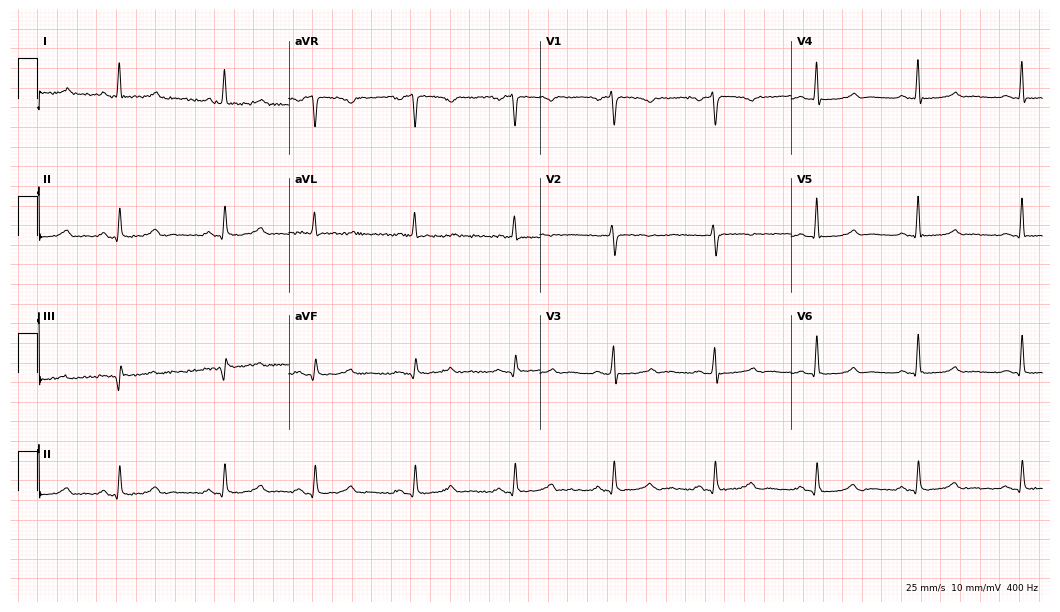
ECG — a 52-year-old female patient. Labelled as a normal ECG.